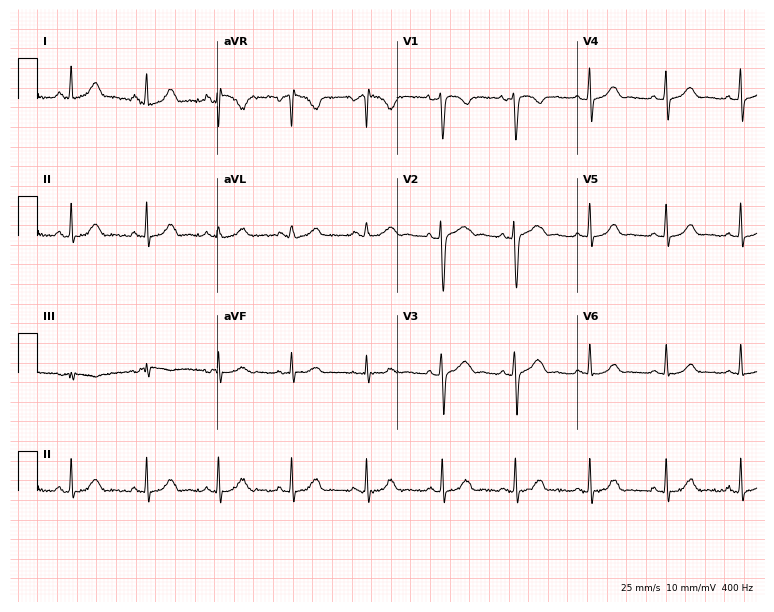
Electrocardiogram, a female, 18 years old. Overall reading on record: normal ECG.